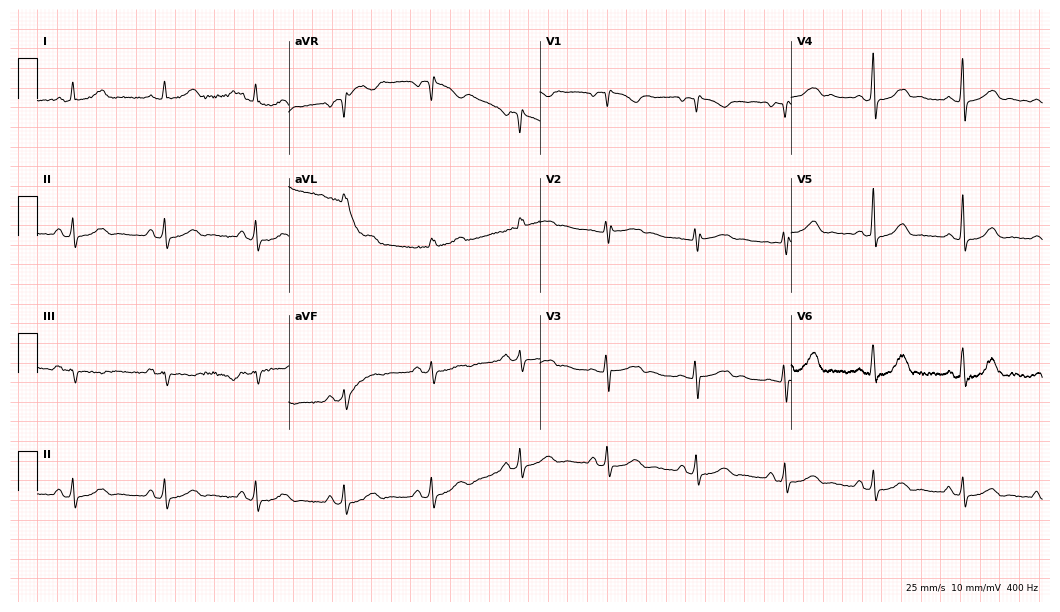
ECG (10.2-second recording at 400 Hz) — a 46-year-old female. Screened for six findings — first-degree AV block, right bundle branch block, left bundle branch block, sinus bradycardia, atrial fibrillation, sinus tachycardia — none is recorded.